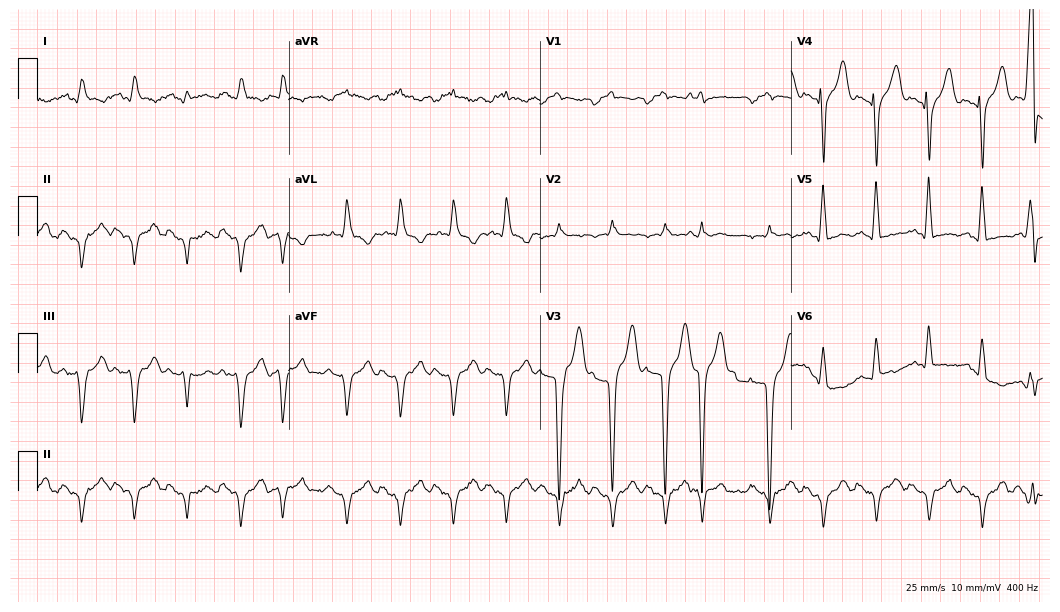
12-lead ECG (10.2-second recording at 400 Hz) from a 57-year-old man. Findings include right bundle branch block (RBBB), sinus tachycardia (a sinus rate of 100 beats per minute or more).